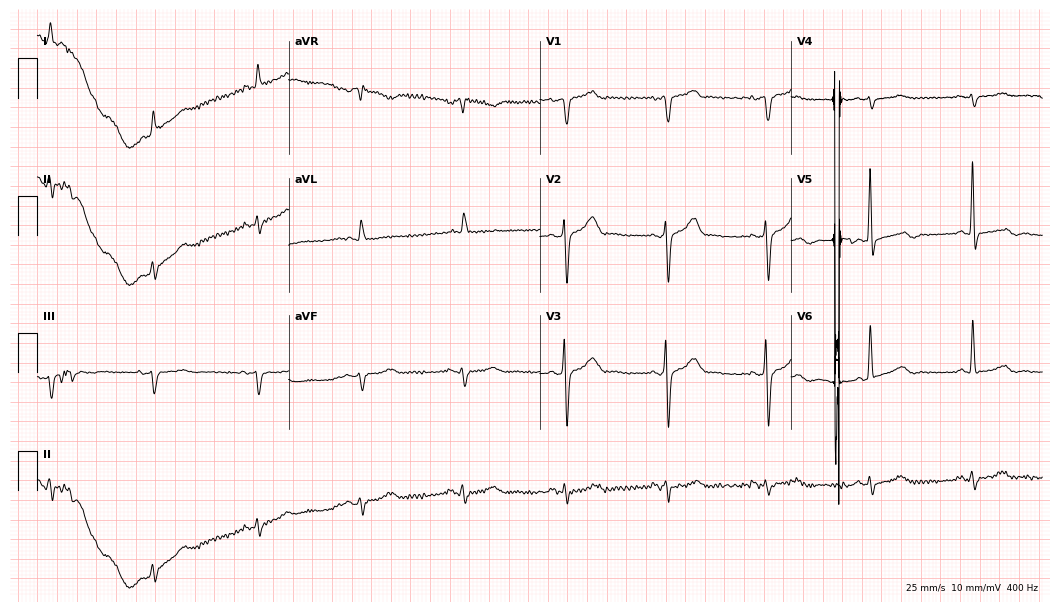
Resting 12-lead electrocardiogram (10.2-second recording at 400 Hz). Patient: a male, 79 years old. None of these six findings is recorded: first-degree AV block, right bundle branch block, left bundle branch block, sinus bradycardia, atrial fibrillation, sinus tachycardia.